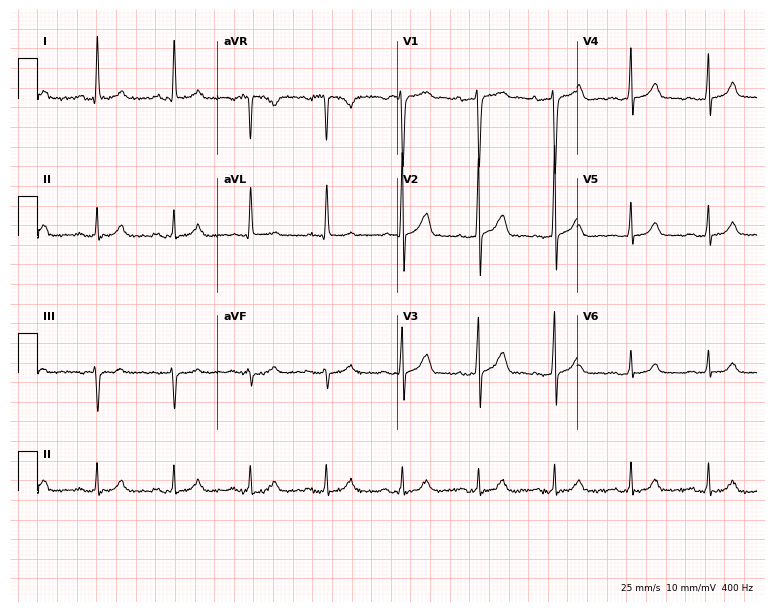
ECG — a 54-year-old man. Labelled as a normal ECG.